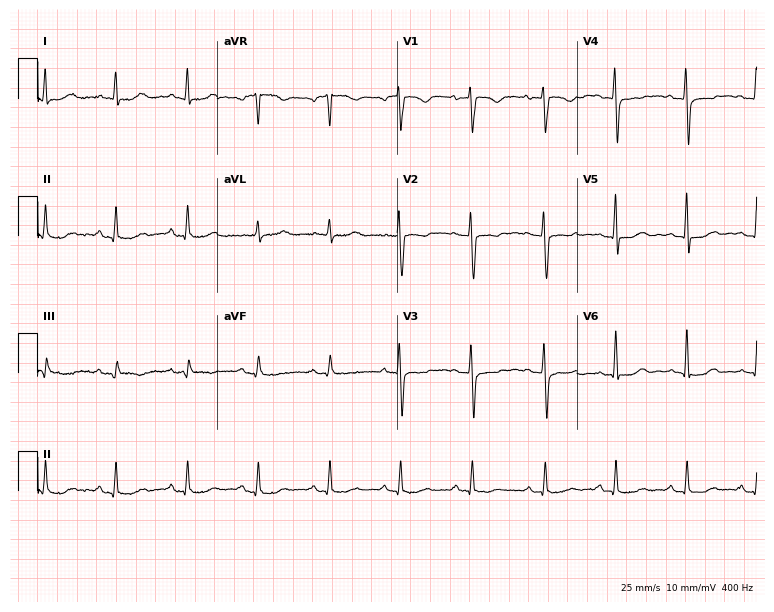
Electrocardiogram (7.3-second recording at 400 Hz), a 51-year-old female patient. Of the six screened findings (first-degree AV block, right bundle branch block, left bundle branch block, sinus bradycardia, atrial fibrillation, sinus tachycardia), none is recorded.